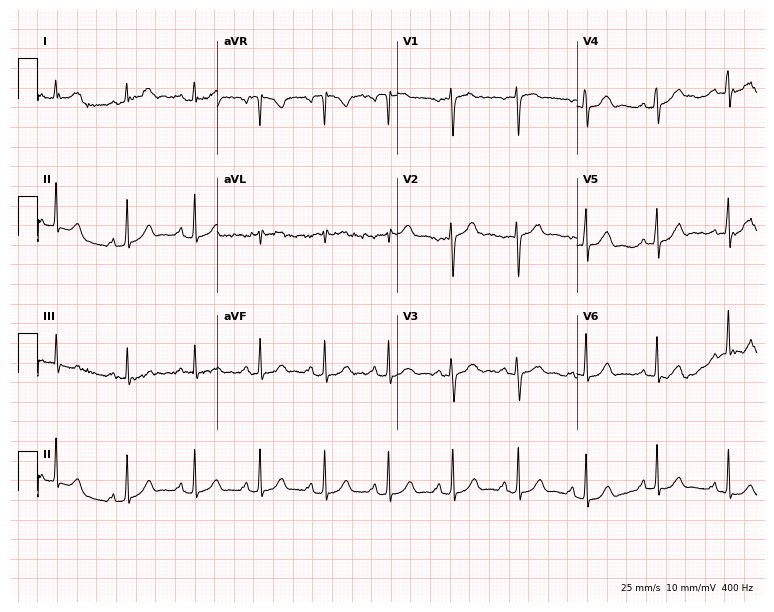
Standard 12-lead ECG recorded from a 29-year-old woman (7.3-second recording at 400 Hz). Read as a normal ECG.